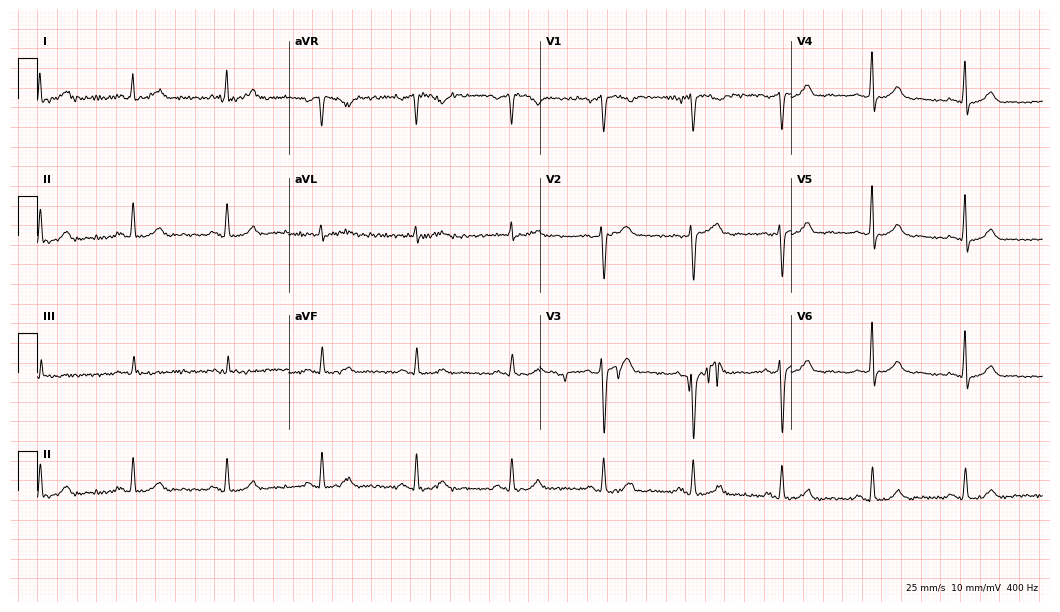
Electrocardiogram, a 36-year-old man. Overall reading on record: normal ECG.